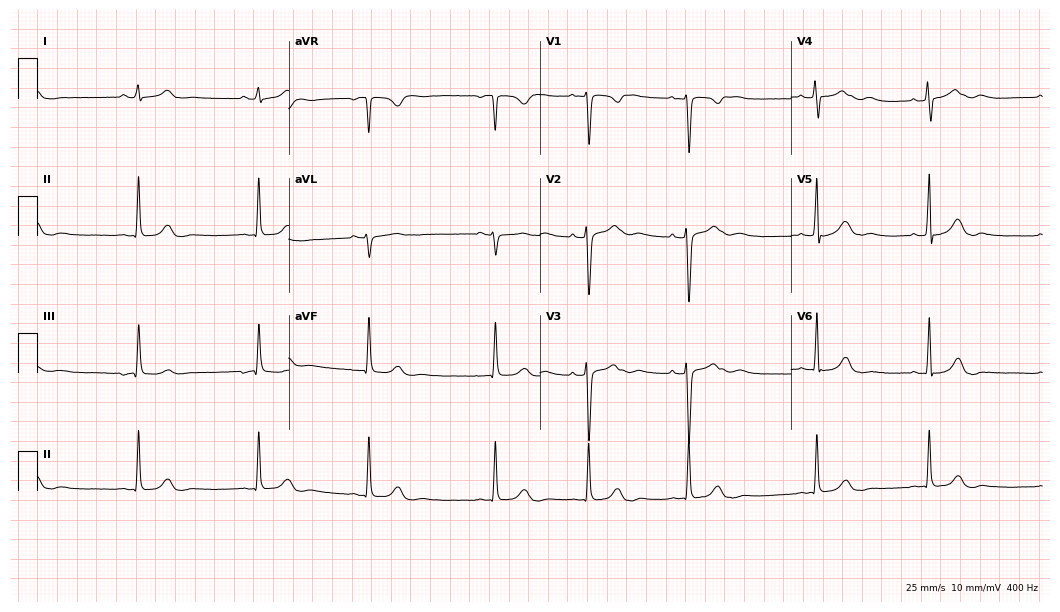
12-lead ECG from a female, 24 years old. No first-degree AV block, right bundle branch block (RBBB), left bundle branch block (LBBB), sinus bradycardia, atrial fibrillation (AF) or sinus tachycardia recorded for this tracing. Only these six findings were labelled.